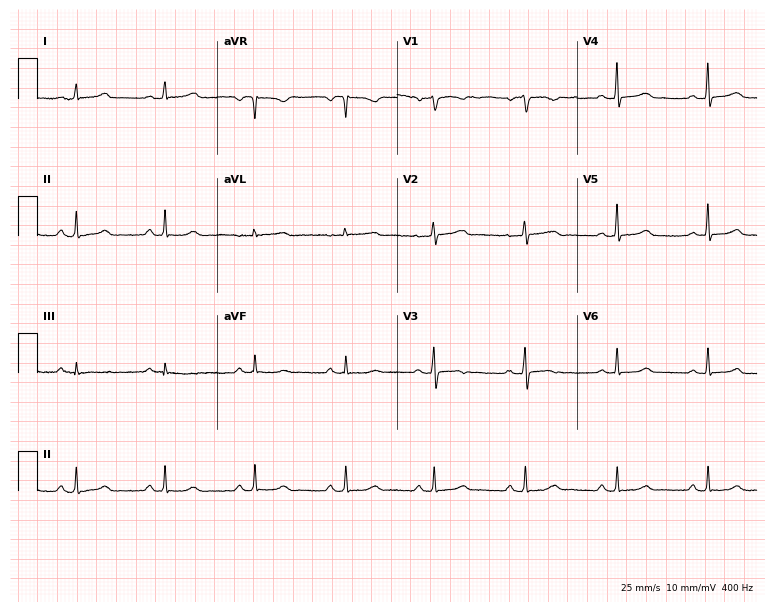
12-lead ECG from a female patient, 49 years old. Labelled as a normal ECG.